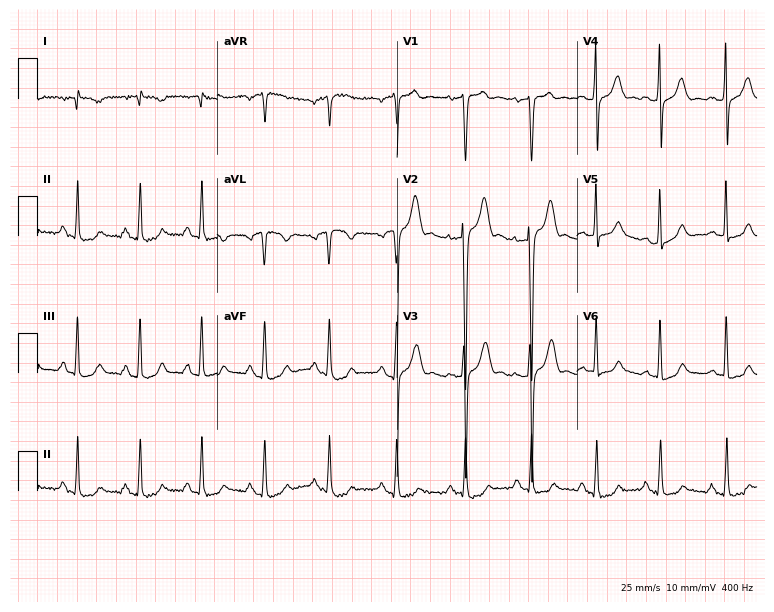
12-lead ECG (7.3-second recording at 400 Hz) from a 43-year-old man. Screened for six findings — first-degree AV block, right bundle branch block (RBBB), left bundle branch block (LBBB), sinus bradycardia, atrial fibrillation (AF), sinus tachycardia — none is recorded.